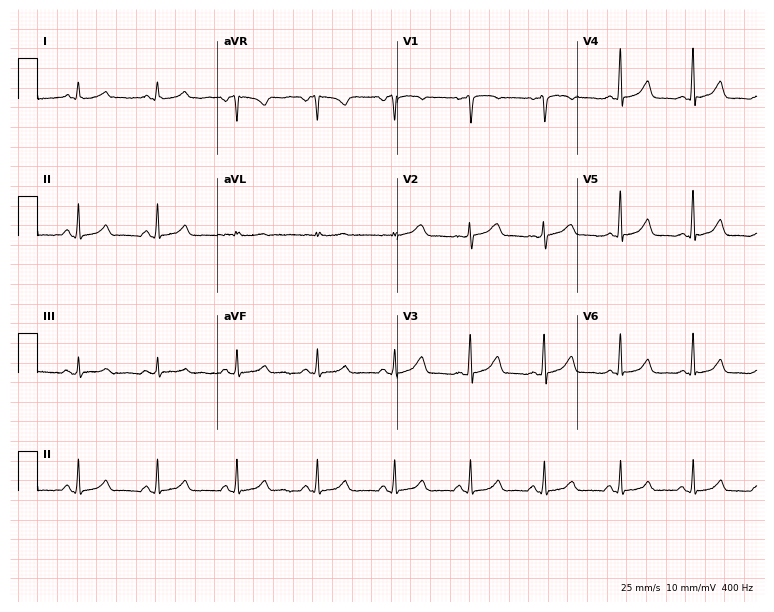
12-lead ECG (7.3-second recording at 400 Hz) from a female patient, 41 years old. Labelled as a normal ECG.